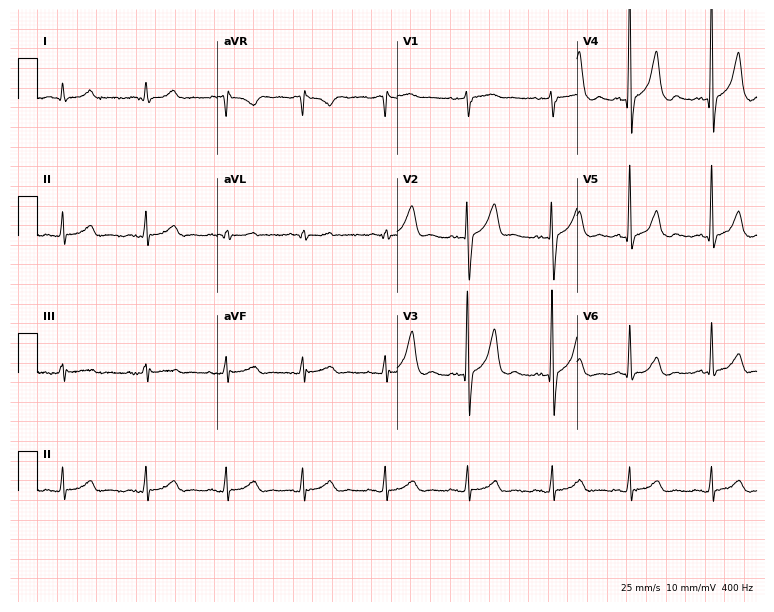
Resting 12-lead electrocardiogram (7.3-second recording at 400 Hz). Patient: a 37-year-old man. Read as a normal ECG.